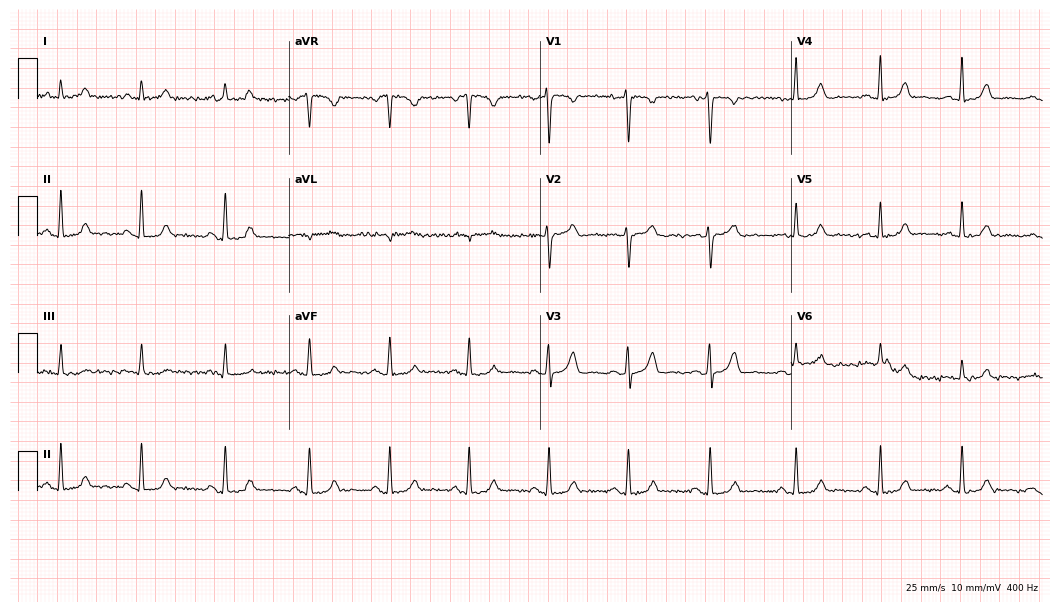
12-lead ECG from a female, 32 years old. Labelled as a normal ECG.